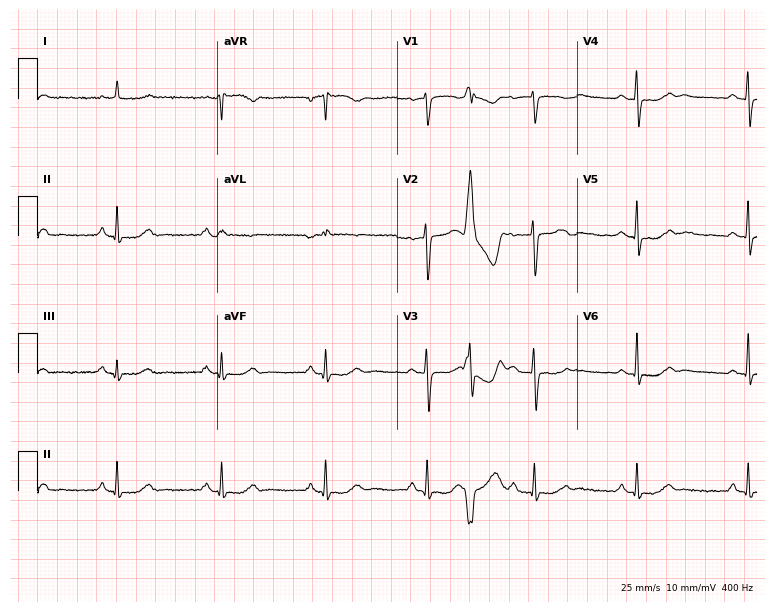
Standard 12-lead ECG recorded from a 60-year-old female patient (7.3-second recording at 400 Hz). Read as a normal ECG.